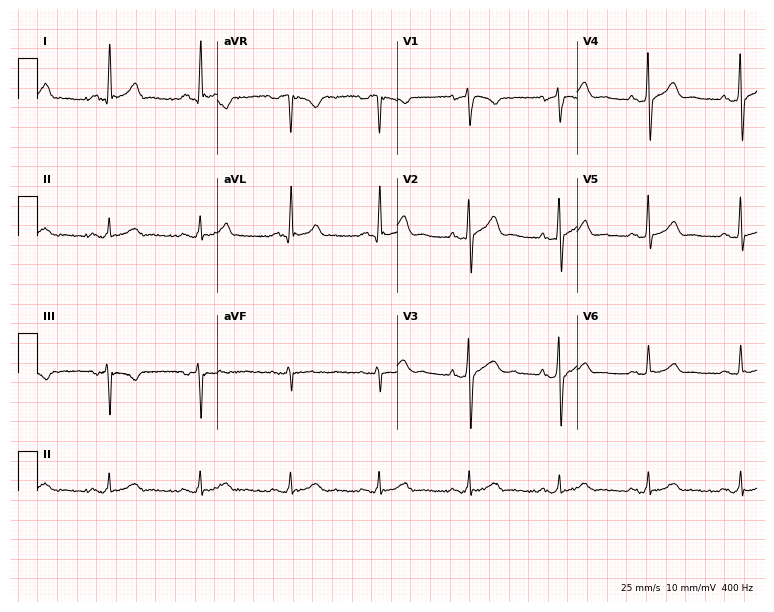
Standard 12-lead ECG recorded from a 59-year-old male patient. None of these six findings is recorded: first-degree AV block, right bundle branch block, left bundle branch block, sinus bradycardia, atrial fibrillation, sinus tachycardia.